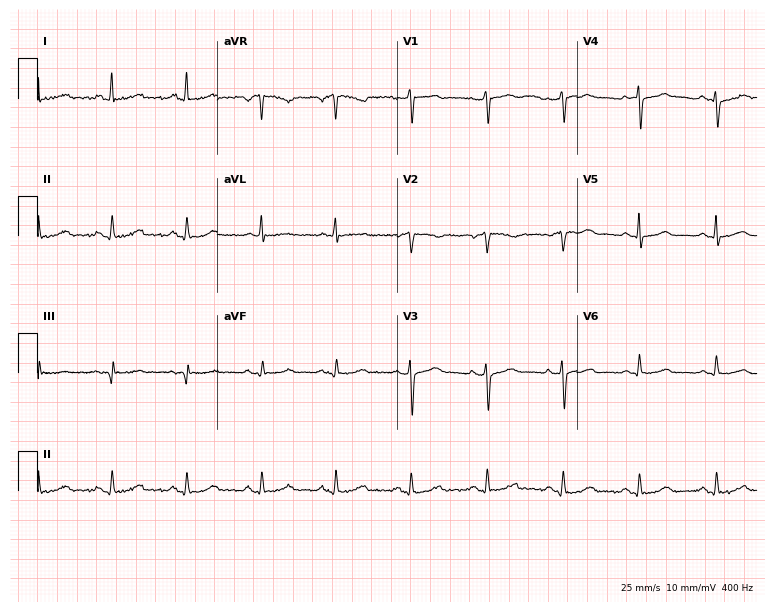
Resting 12-lead electrocardiogram. Patient: a 48-year-old female. None of these six findings is recorded: first-degree AV block, right bundle branch block, left bundle branch block, sinus bradycardia, atrial fibrillation, sinus tachycardia.